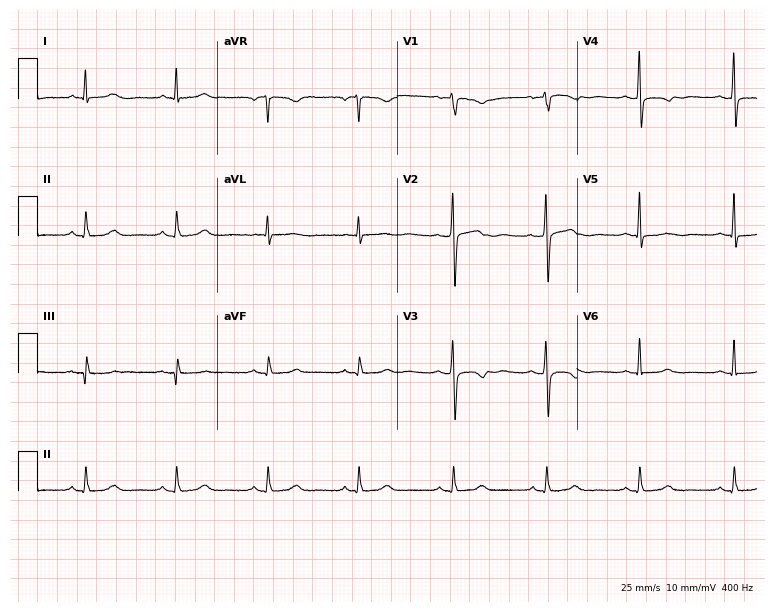
ECG — a female, 63 years old. Screened for six findings — first-degree AV block, right bundle branch block, left bundle branch block, sinus bradycardia, atrial fibrillation, sinus tachycardia — none is recorded. Only these six findings were labelled.